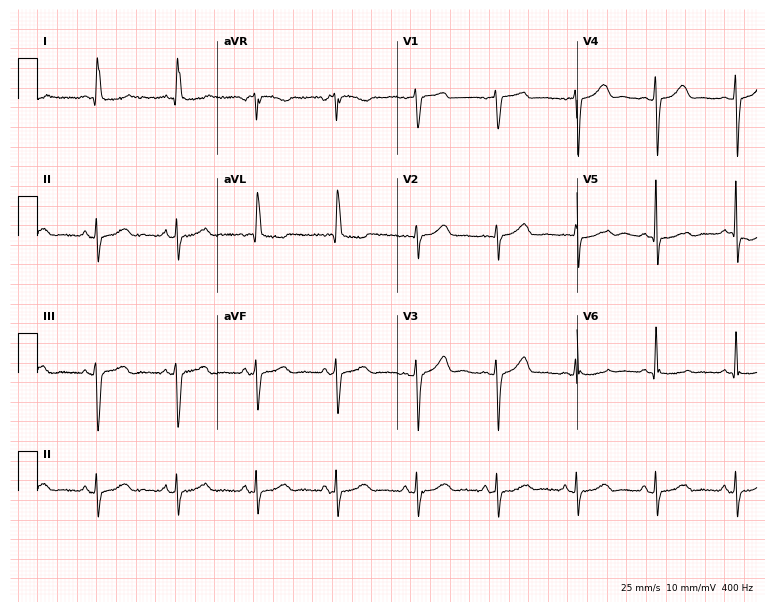
12-lead ECG from a 78-year-old female patient. Screened for six findings — first-degree AV block, right bundle branch block, left bundle branch block, sinus bradycardia, atrial fibrillation, sinus tachycardia — none is recorded.